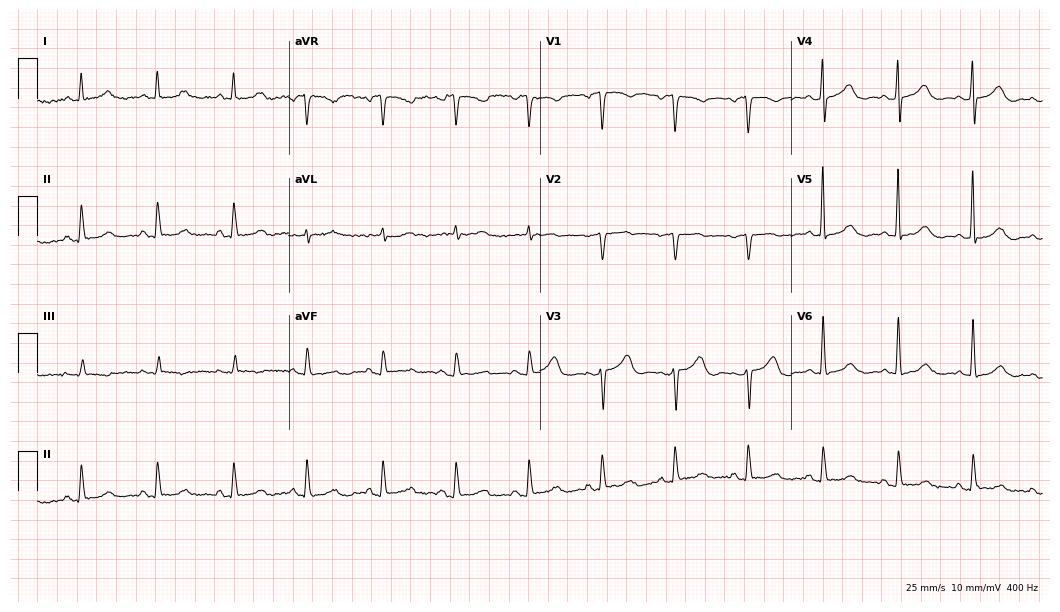
Standard 12-lead ECG recorded from a woman, 57 years old (10.2-second recording at 400 Hz). Read as a normal ECG.